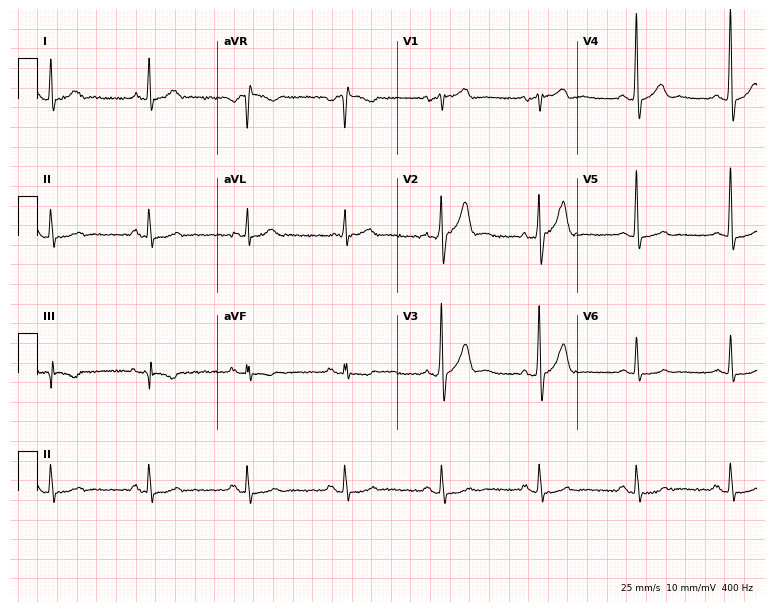
12-lead ECG (7.3-second recording at 400 Hz) from a man, 50 years old. Screened for six findings — first-degree AV block, right bundle branch block (RBBB), left bundle branch block (LBBB), sinus bradycardia, atrial fibrillation (AF), sinus tachycardia — none is recorded.